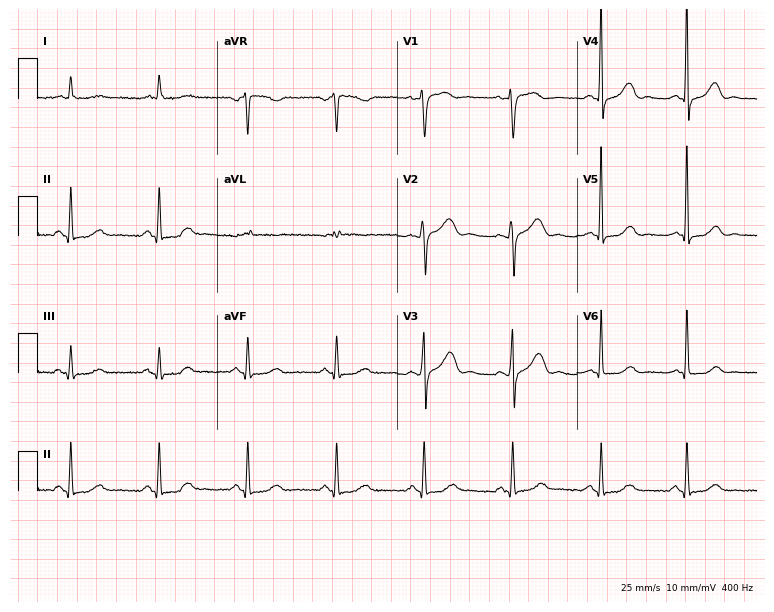
Standard 12-lead ECG recorded from a 50-year-old female. None of these six findings is recorded: first-degree AV block, right bundle branch block, left bundle branch block, sinus bradycardia, atrial fibrillation, sinus tachycardia. Only these six findings were labelled.